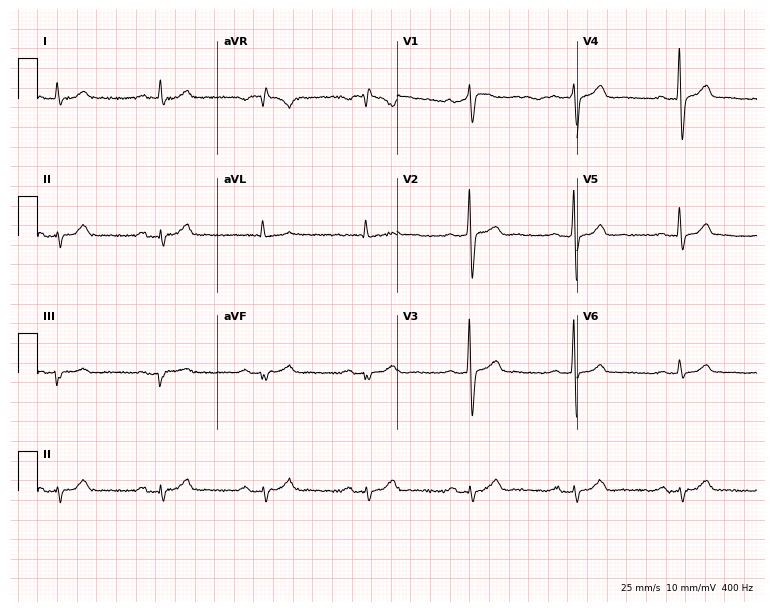
12-lead ECG (7.3-second recording at 400 Hz) from a man, 62 years old. Screened for six findings — first-degree AV block, right bundle branch block, left bundle branch block, sinus bradycardia, atrial fibrillation, sinus tachycardia — none is recorded. Other findings, if any, are not listed.